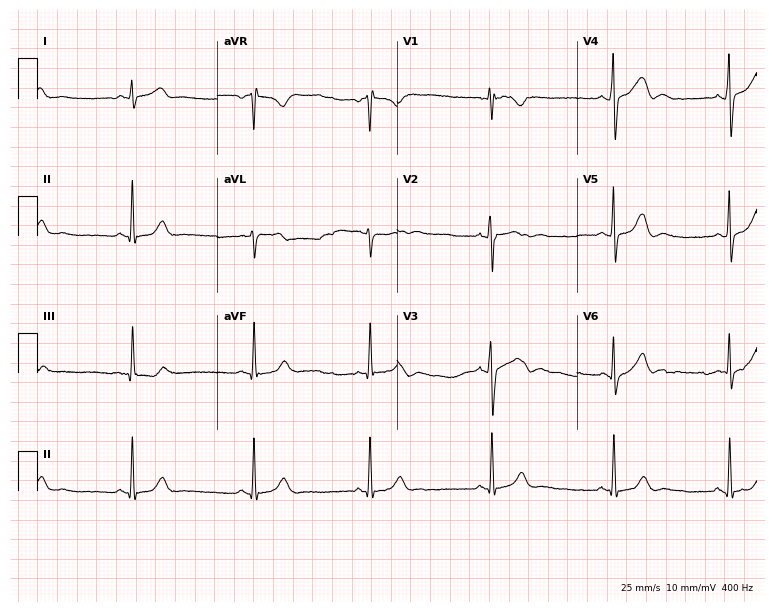
12-lead ECG (7.3-second recording at 400 Hz) from a male, 17 years old. Findings include sinus bradycardia (a sinus rate of 50 beats per minute or less).